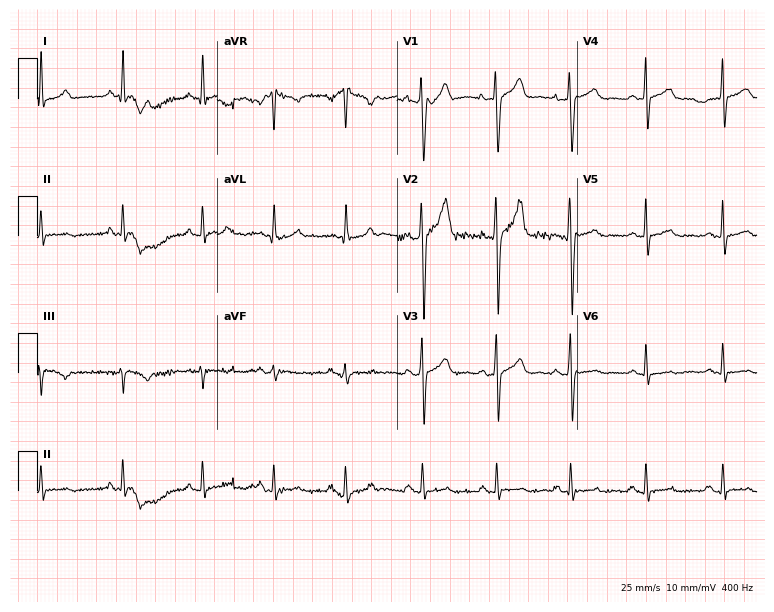
12-lead ECG from a 21-year-old man (7.3-second recording at 400 Hz). No first-degree AV block, right bundle branch block, left bundle branch block, sinus bradycardia, atrial fibrillation or sinus tachycardia recorded for this tracing. Other findings, if any, are not listed.